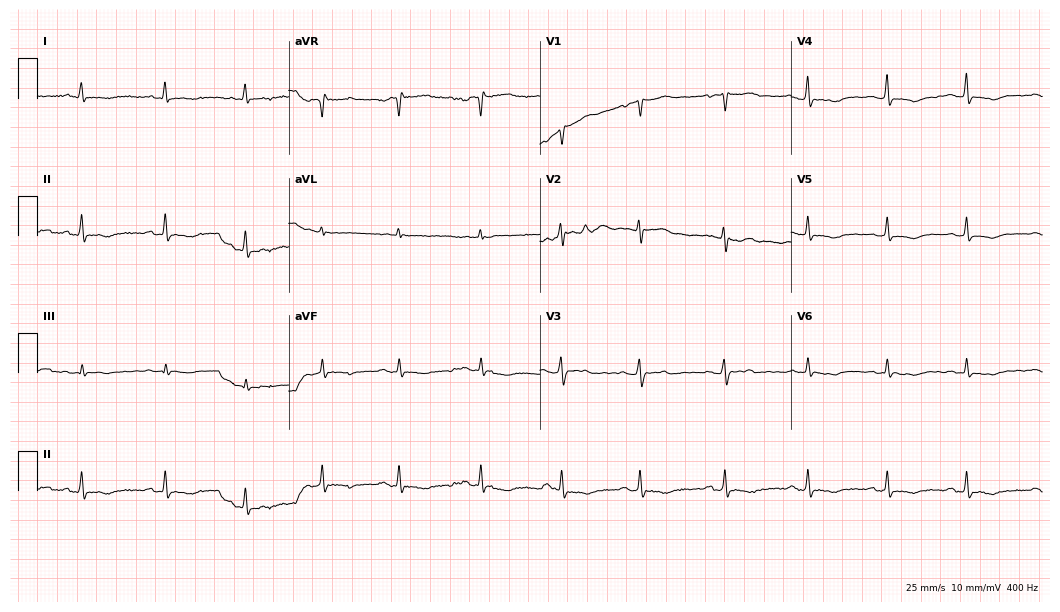
12-lead ECG (10.2-second recording at 400 Hz) from a woman, 31 years old. Screened for six findings — first-degree AV block, right bundle branch block (RBBB), left bundle branch block (LBBB), sinus bradycardia, atrial fibrillation (AF), sinus tachycardia — none is recorded.